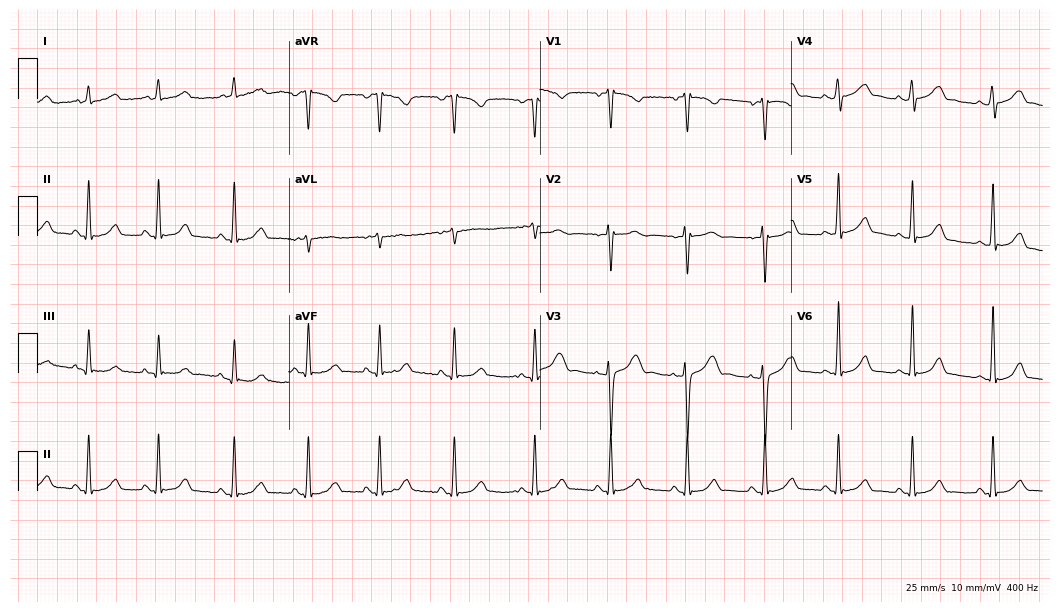
Standard 12-lead ECG recorded from a 17-year-old woman. Read as a normal ECG.